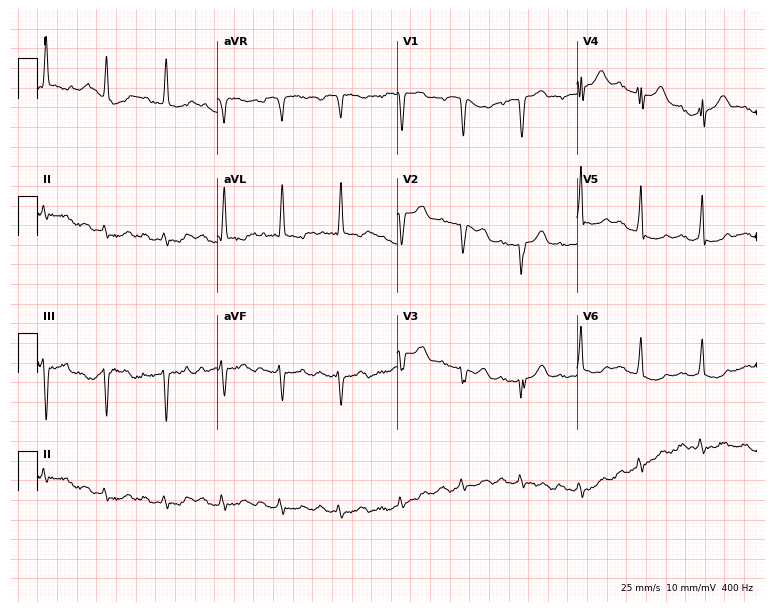
12-lead ECG from an 85-year-old man. No first-degree AV block, right bundle branch block (RBBB), left bundle branch block (LBBB), sinus bradycardia, atrial fibrillation (AF) or sinus tachycardia recorded for this tracing.